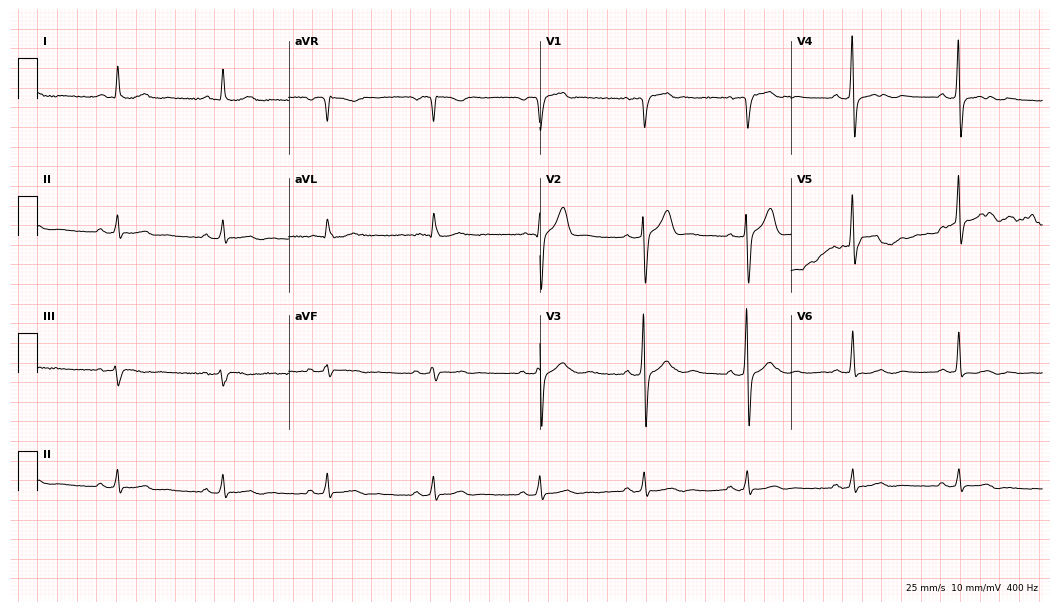
12-lead ECG from an 81-year-old male patient (10.2-second recording at 400 Hz). No first-degree AV block, right bundle branch block, left bundle branch block, sinus bradycardia, atrial fibrillation or sinus tachycardia recorded for this tracing.